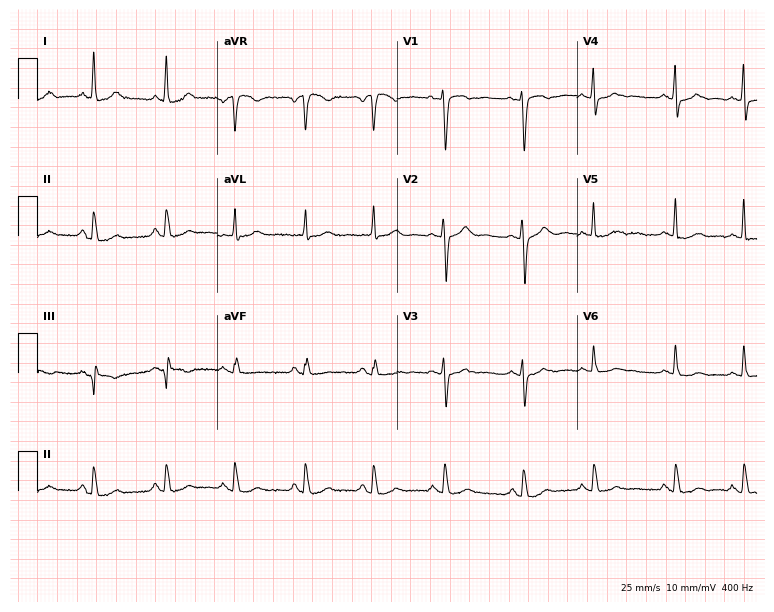
Electrocardiogram (7.3-second recording at 400 Hz), a woman, 61 years old. Of the six screened findings (first-degree AV block, right bundle branch block (RBBB), left bundle branch block (LBBB), sinus bradycardia, atrial fibrillation (AF), sinus tachycardia), none is recorded. Findings outside these six are not listed.